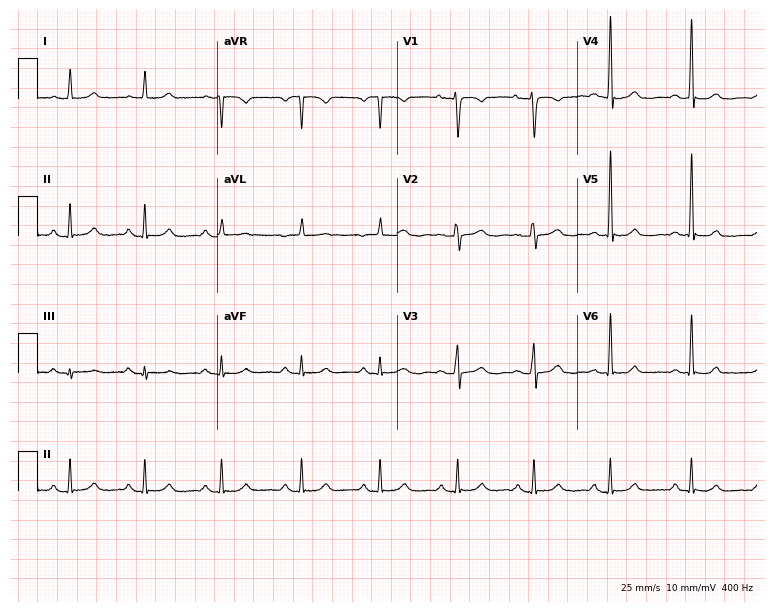
ECG (7.3-second recording at 400 Hz) — a female, 56 years old. Screened for six findings — first-degree AV block, right bundle branch block (RBBB), left bundle branch block (LBBB), sinus bradycardia, atrial fibrillation (AF), sinus tachycardia — none is recorded. Findings outside these six are not listed.